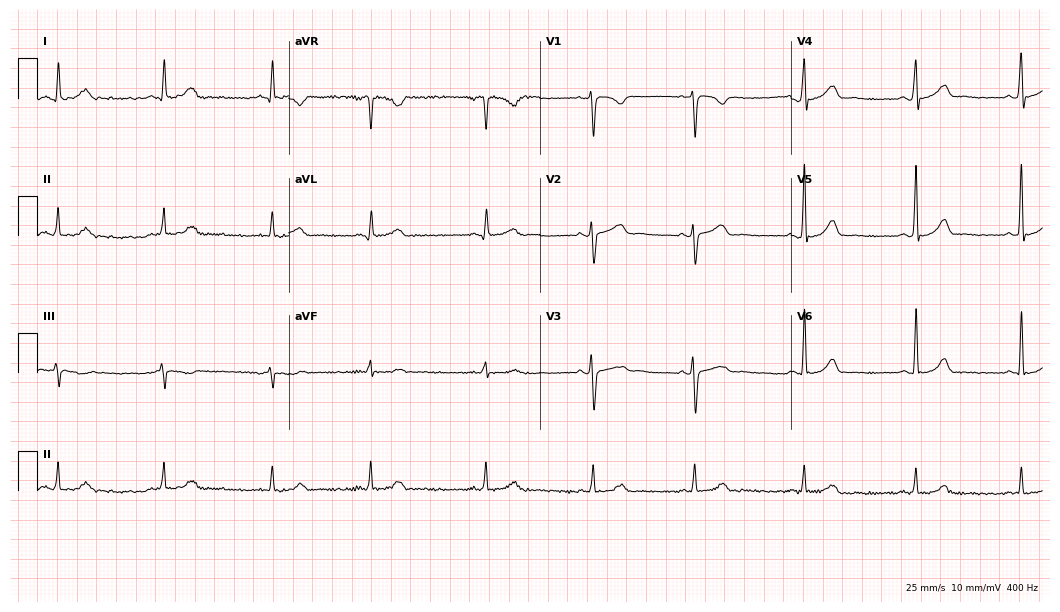
Resting 12-lead electrocardiogram (10.2-second recording at 400 Hz). Patient: a 36-year-old woman. None of these six findings is recorded: first-degree AV block, right bundle branch block (RBBB), left bundle branch block (LBBB), sinus bradycardia, atrial fibrillation (AF), sinus tachycardia. Other findings, if any, are not listed.